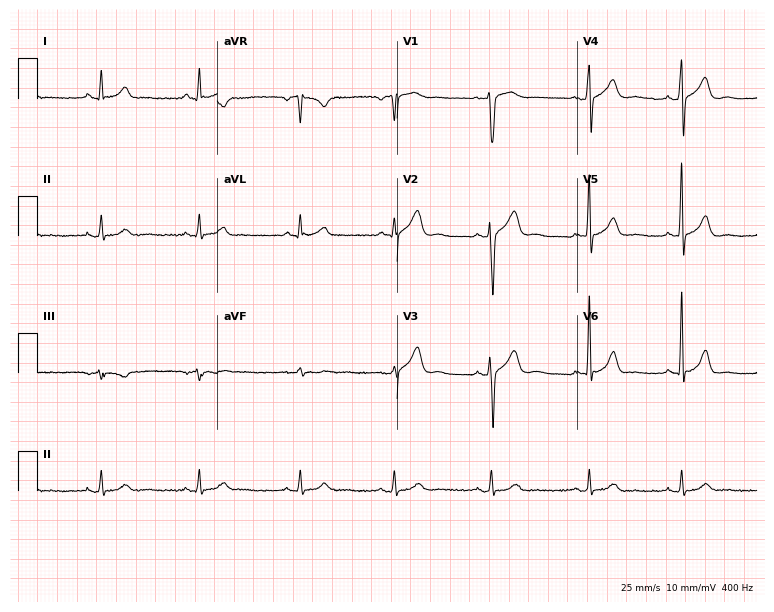
12-lead ECG from a 42-year-old man. Recorded interpretation: within normal limits.